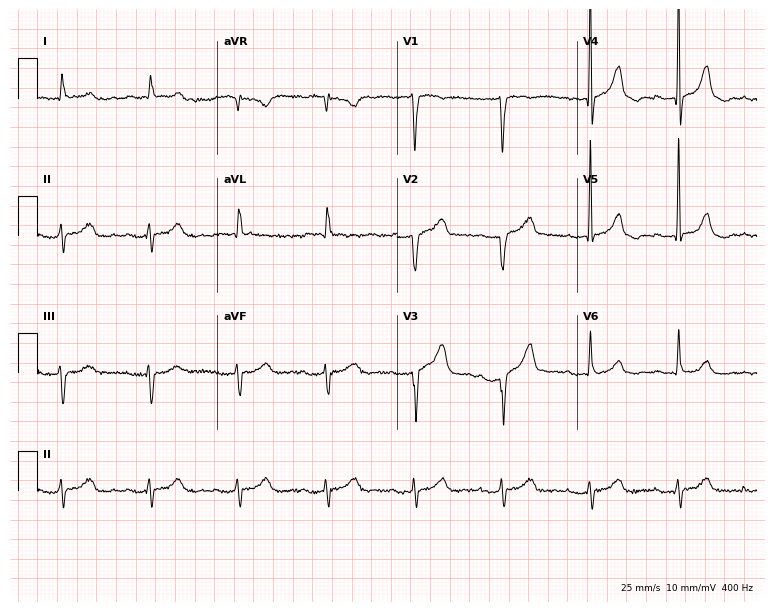
Standard 12-lead ECG recorded from a man, 69 years old. None of these six findings is recorded: first-degree AV block, right bundle branch block (RBBB), left bundle branch block (LBBB), sinus bradycardia, atrial fibrillation (AF), sinus tachycardia. Other findings, if any, are not listed.